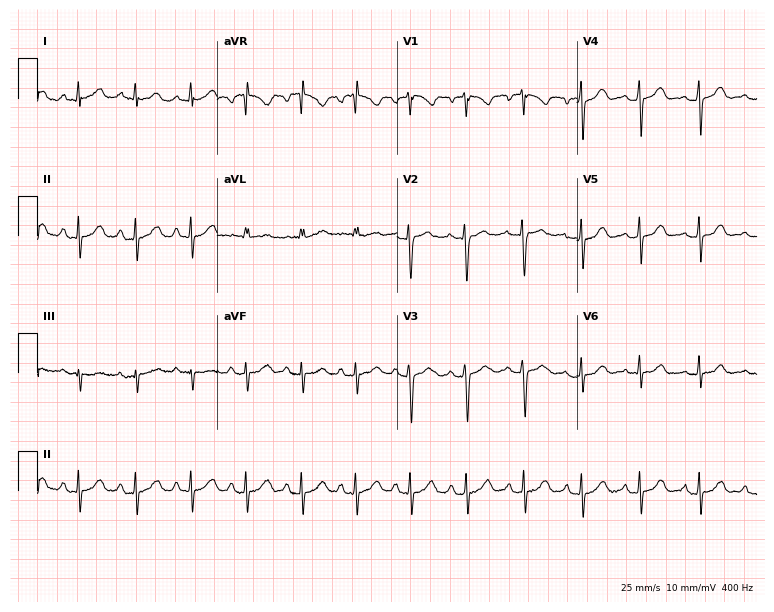
ECG — a female patient, 36 years old. Findings include sinus tachycardia (a sinus rate of 100 beats per minute or more).